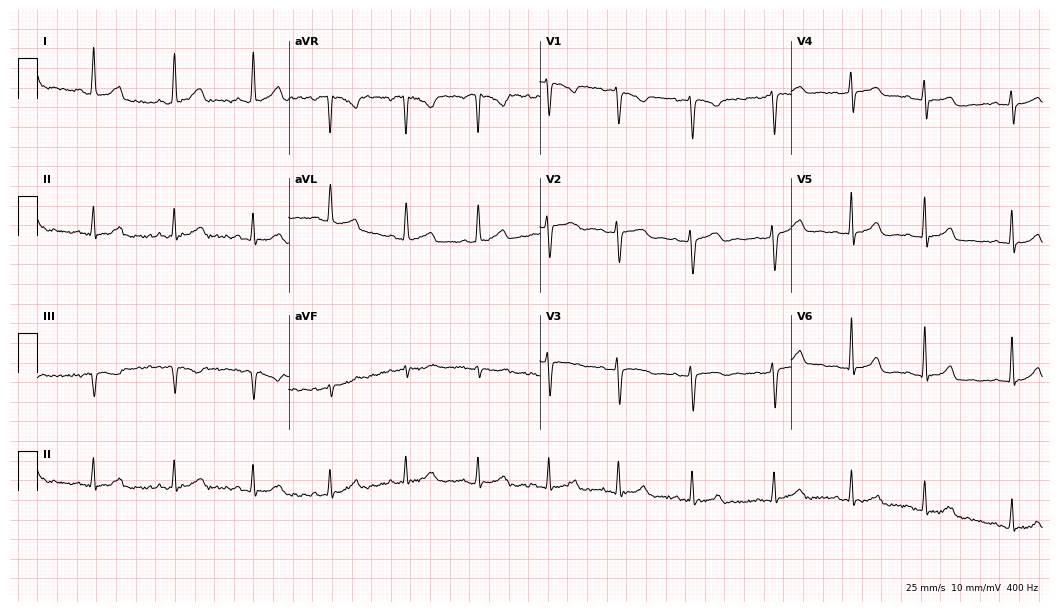
12-lead ECG from a 30-year-old female patient. Recorded interpretation: within normal limits.